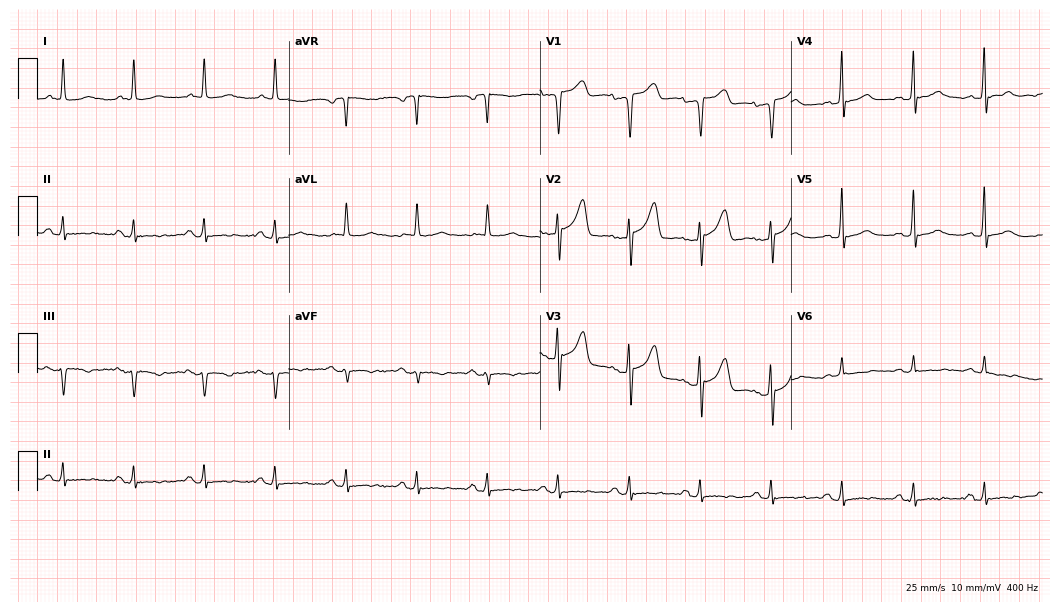
Electrocardiogram (10.2-second recording at 400 Hz), a female patient, 81 years old. Overall reading on record: normal ECG.